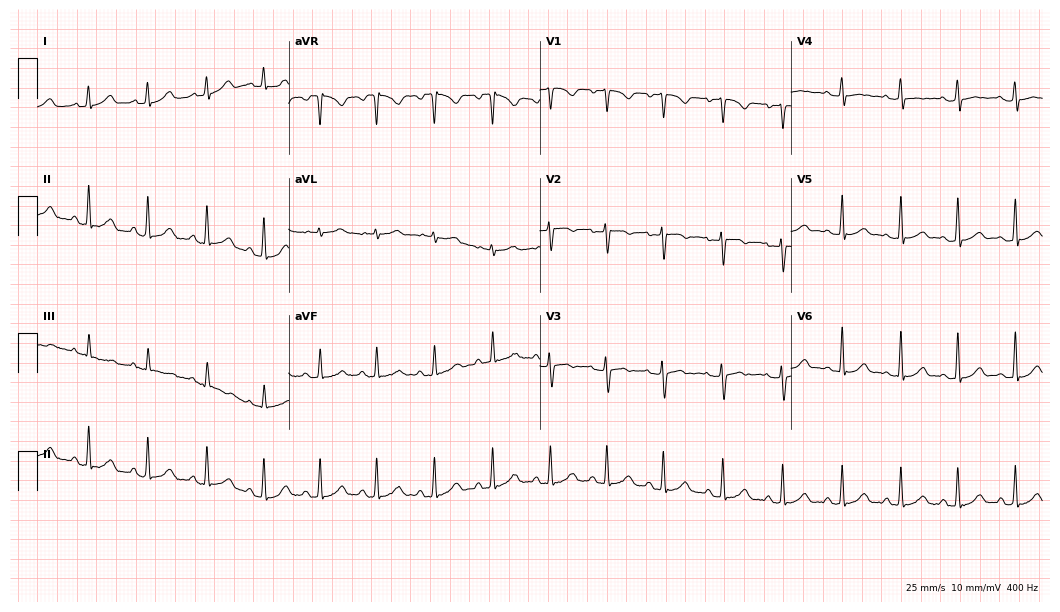
ECG (10.2-second recording at 400 Hz) — a 21-year-old woman. Findings include sinus tachycardia (a sinus rate of 100 beats per minute or more).